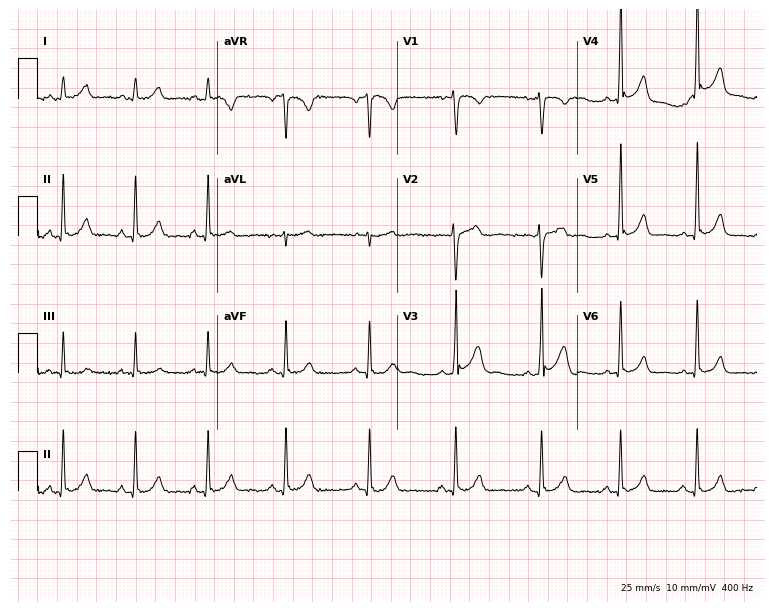
Resting 12-lead electrocardiogram. Patient: a 22-year-old male. Read as a normal ECG.